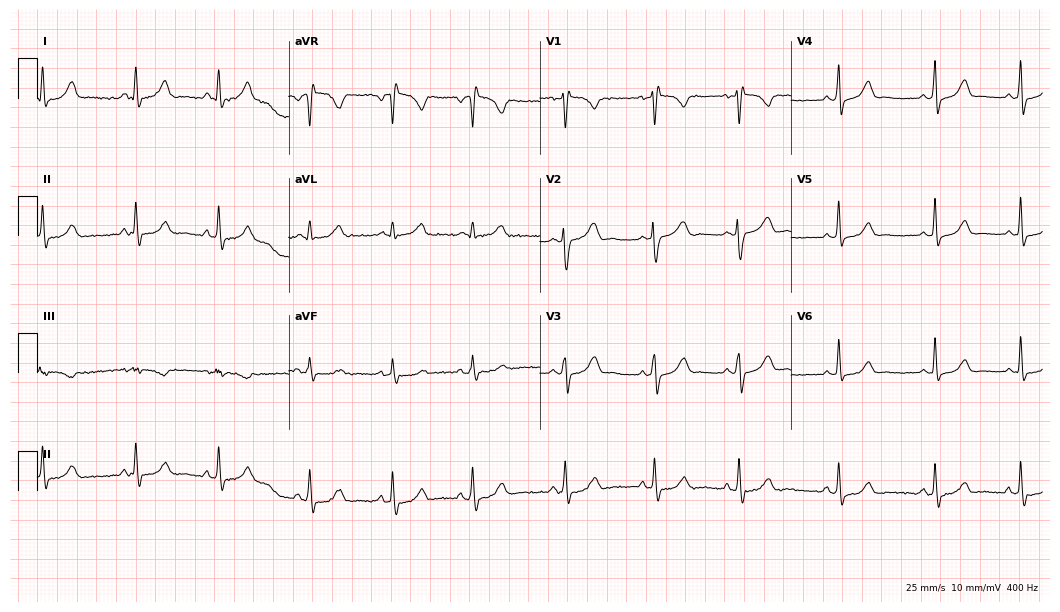
Standard 12-lead ECG recorded from a female patient, 33 years old (10.2-second recording at 400 Hz). None of these six findings is recorded: first-degree AV block, right bundle branch block, left bundle branch block, sinus bradycardia, atrial fibrillation, sinus tachycardia. Other findings, if any, are not listed.